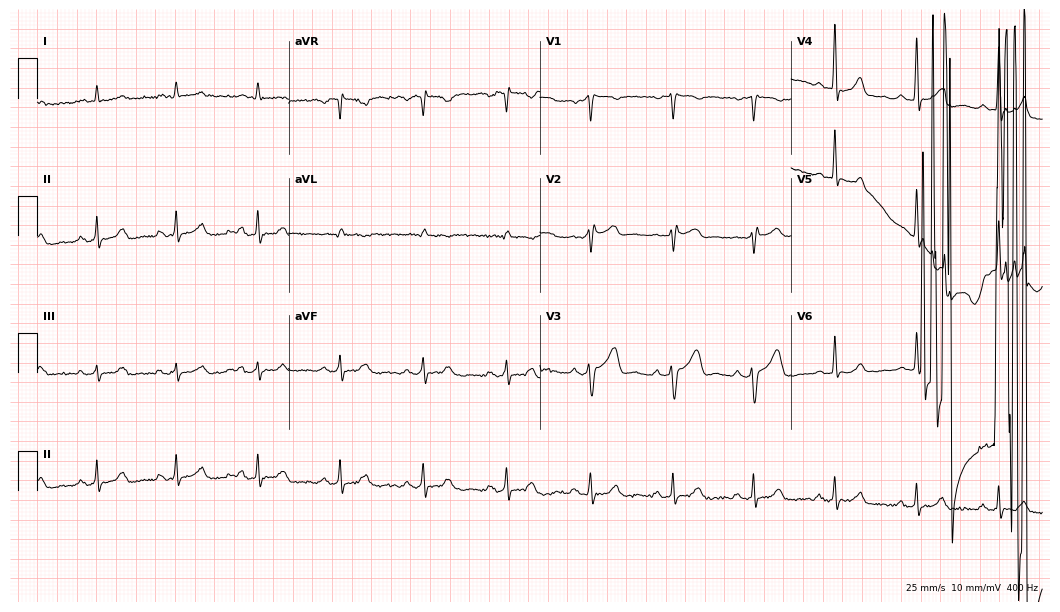
12-lead ECG from a 68-year-old male patient (10.2-second recording at 400 Hz). No first-degree AV block, right bundle branch block (RBBB), left bundle branch block (LBBB), sinus bradycardia, atrial fibrillation (AF) or sinus tachycardia recorded for this tracing. Other findings, if any, are not listed.